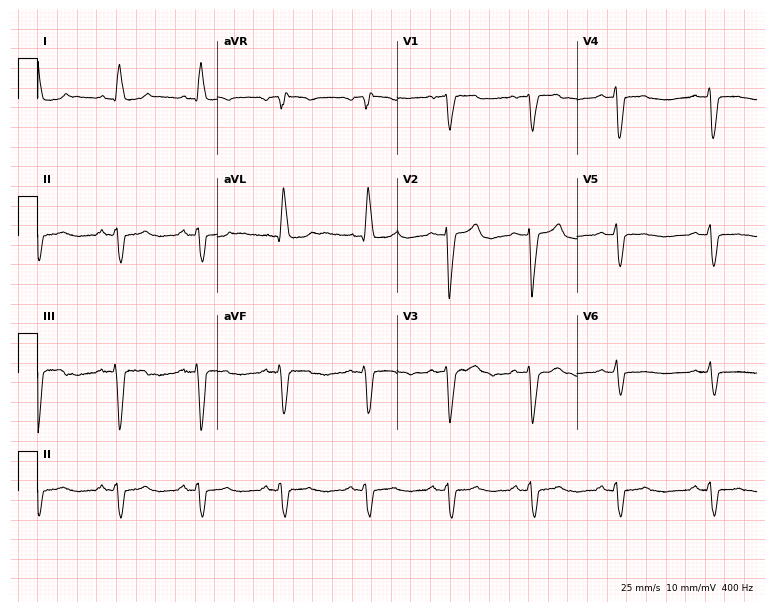
12-lead ECG from a female patient, 84 years old. Findings include left bundle branch block.